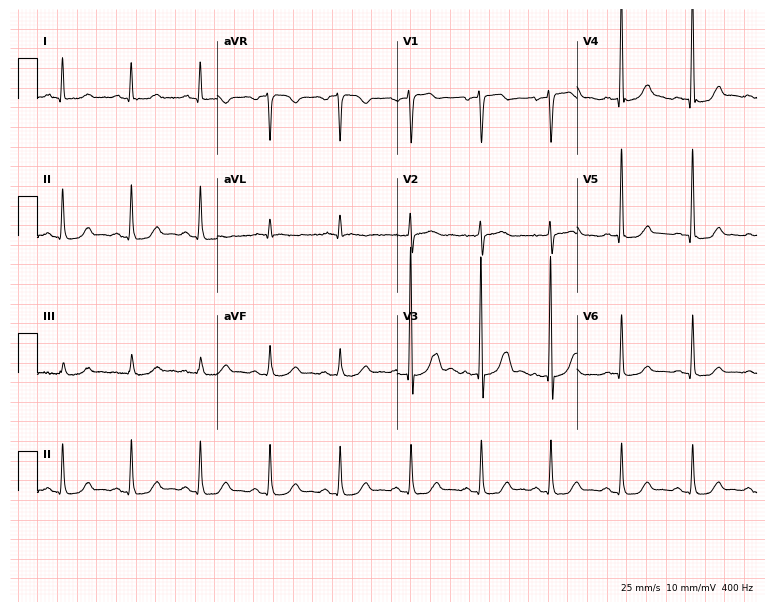
Resting 12-lead electrocardiogram (7.3-second recording at 400 Hz). Patient: a 76-year-old male. Read as a normal ECG.